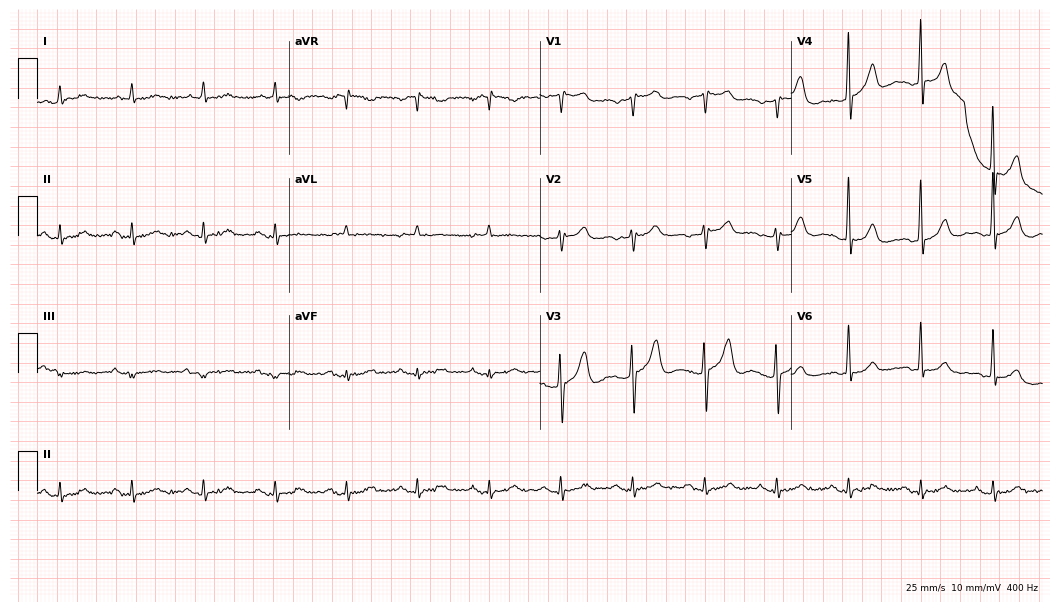
Electrocardiogram (10.2-second recording at 400 Hz), a male, 77 years old. Overall reading on record: normal ECG.